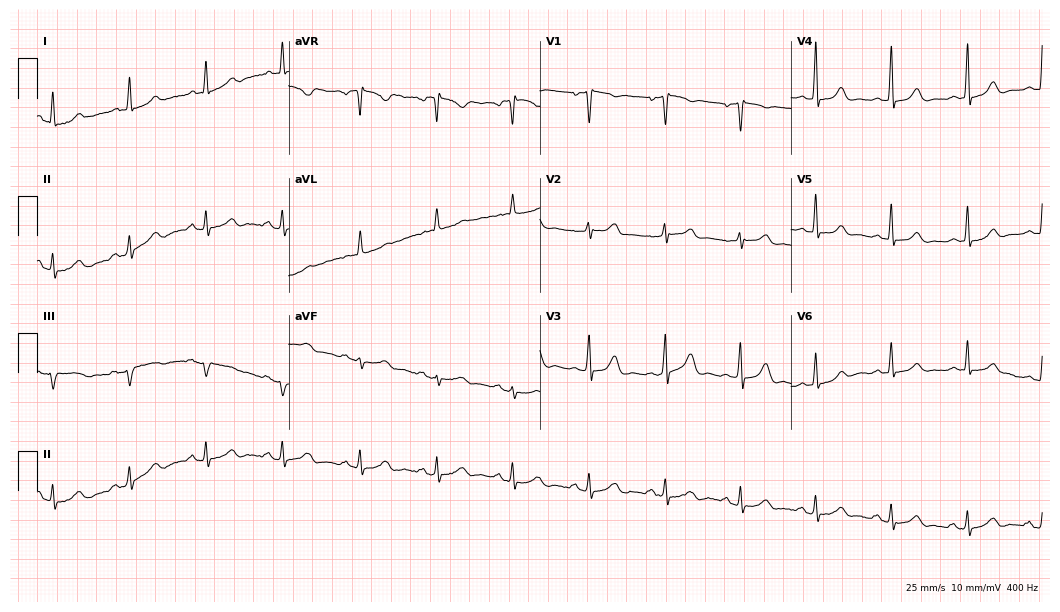
12-lead ECG (10.2-second recording at 400 Hz) from a 70-year-old female. Labelled as a normal ECG.